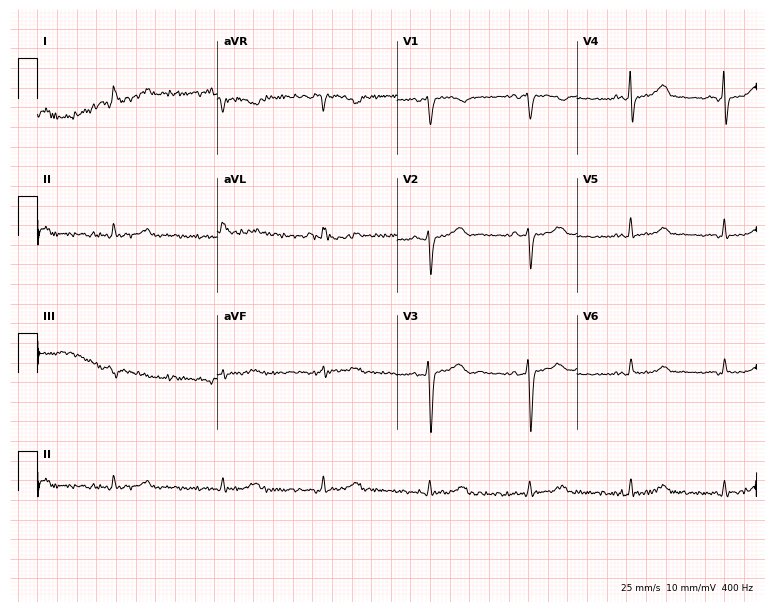
12-lead ECG (7.3-second recording at 400 Hz) from a 44-year-old woman. Screened for six findings — first-degree AV block, right bundle branch block (RBBB), left bundle branch block (LBBB), sinus bradycardia, atrial fibrillation (AF), sinus tachycardia — none is recorded. Other findings, if any, are not listed.